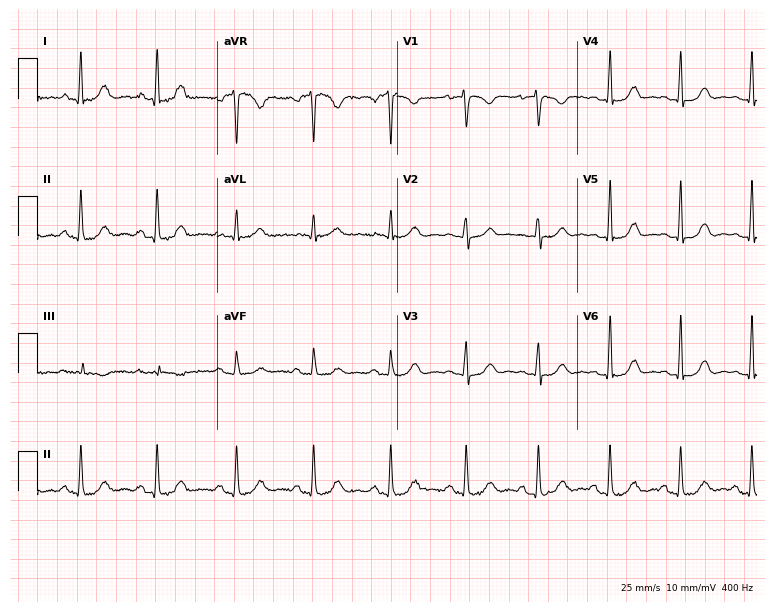
12-lead ECG from a woman, 52 years old (7.3-second recording at 400 Hz). Recorded interpretation: within normal limits.